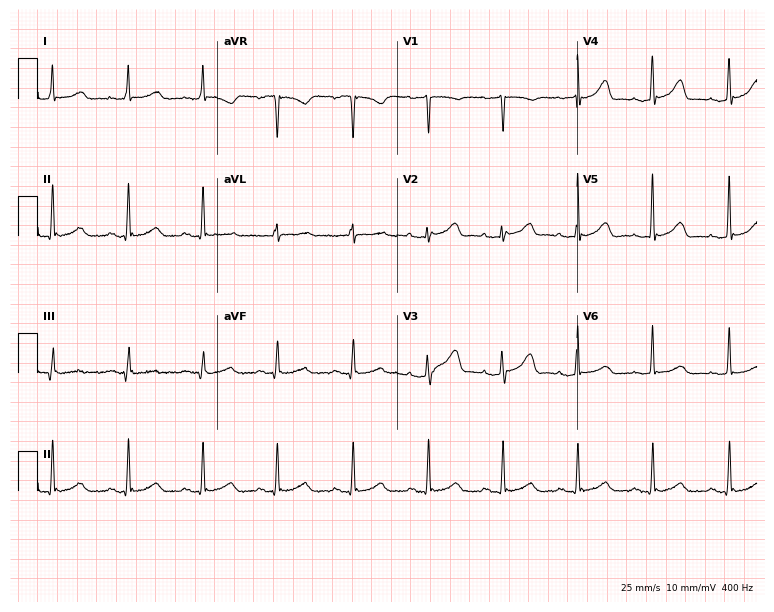
Standard 12-lead ECG recorded from a 49-year-old female patient (7.3-second recording at 400 Hz). None of these six findings is recorded: first-degree AV block, right bundle branch block (RBBB), left bundle branch block (LBBB), sinus bradycardia, atrial fibrillation (AF), sinus tachycardia. Other findings, if any, are not listed.